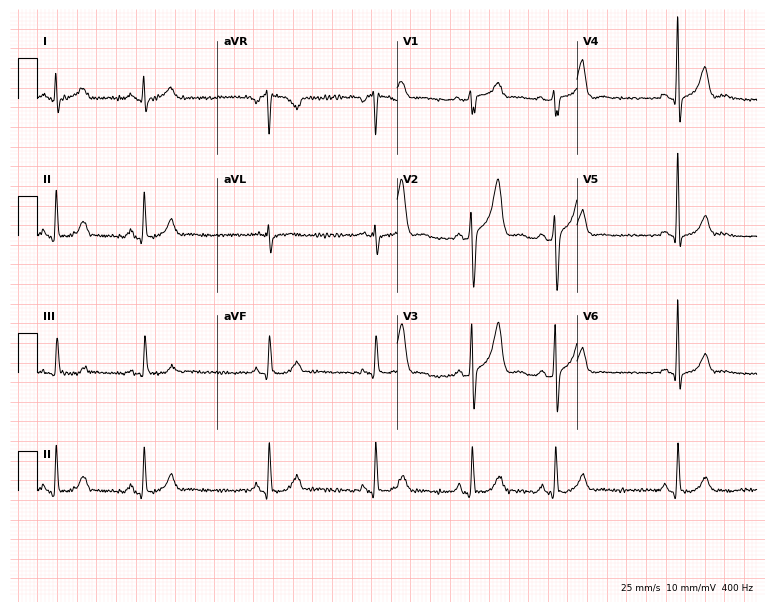
12-lead ECG (7.3-second recording at 400 Hz) from a male patient, 27 years old. Screened for six findings — first-degree AV block, right bundle branch block (RBBB), left bundle branch block (LBBB), sinus bradycardia, atrial fibrillation (AF), sinus tachycardia — none is recorded.